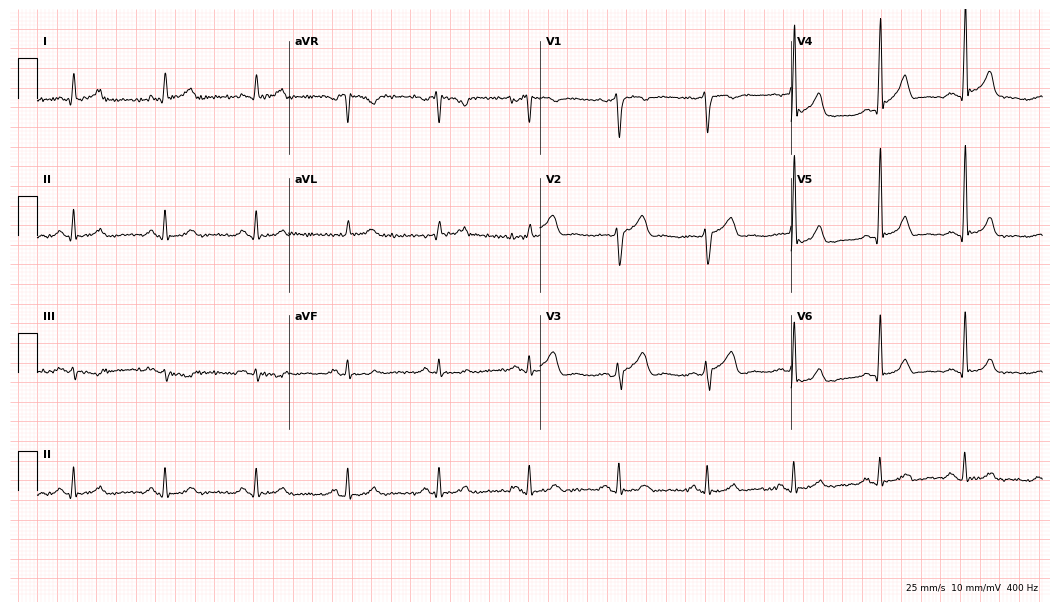
Electrocardiogram (10.2-second recording at 400 Hz), a man, 54 years old. Overall reading on record: normal ECG.